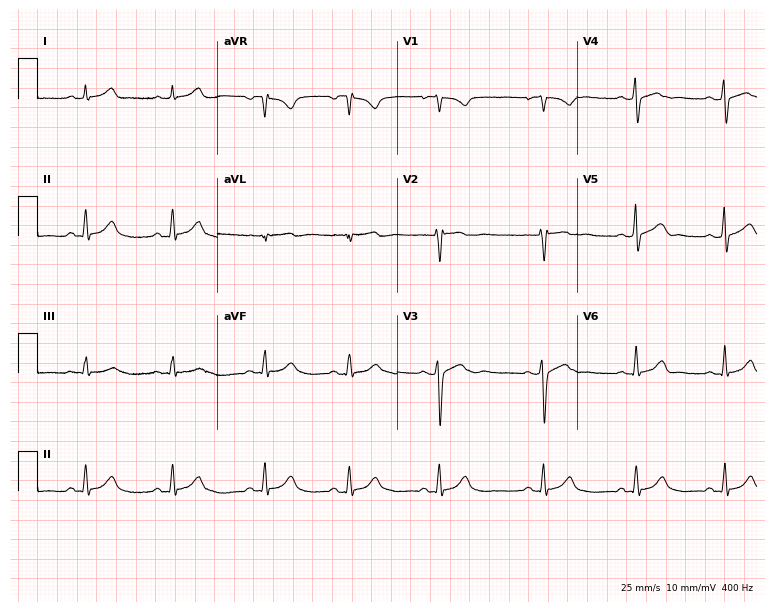
ECG — a 21-year-old female. Labelled as a normal ECG.